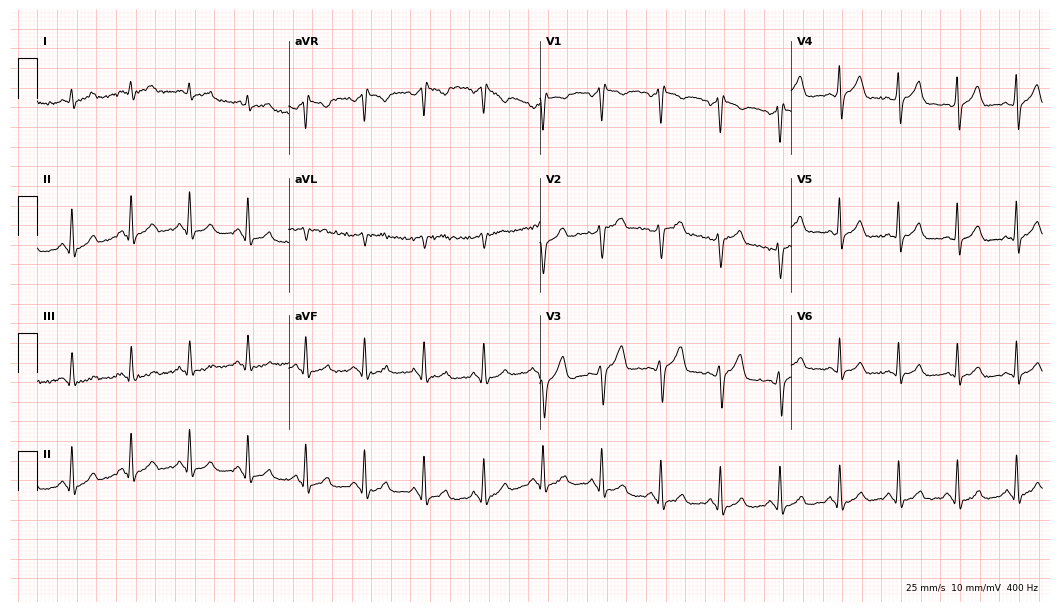
Resting 12-lead electrocardiogram (10.2-second recording at 400 Hz). Patient: a 45-year-old man. Read as a normal ECG.